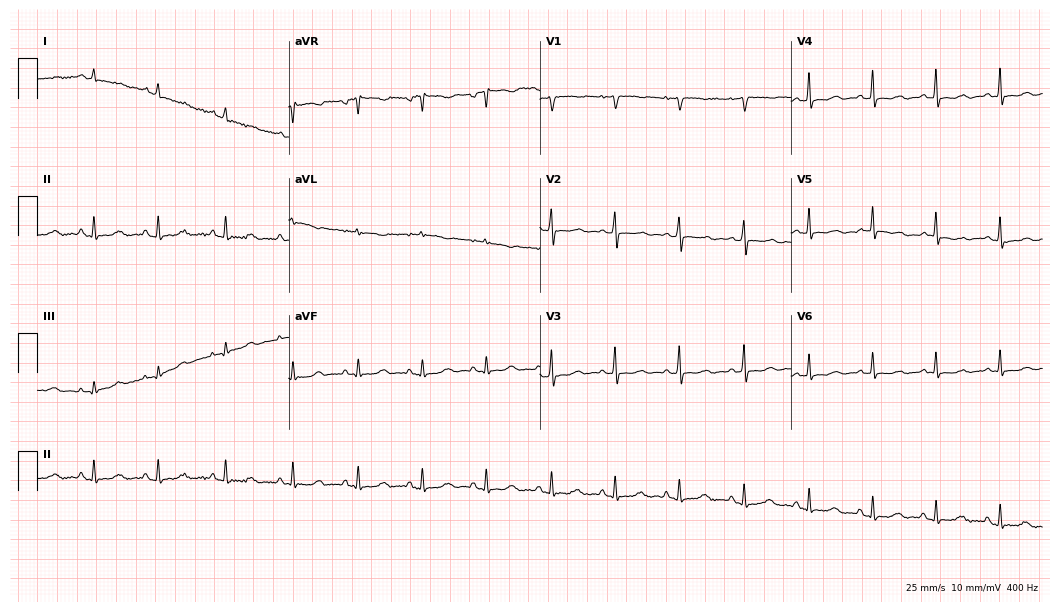
12-lead ECG from a woman, 39 years old. Screened for six findings — first-degree AV block, right bundle branch block, left bundle branch block, sinus bradycardia, atrial fibrillation, sinus tachycardia — none is recorded.